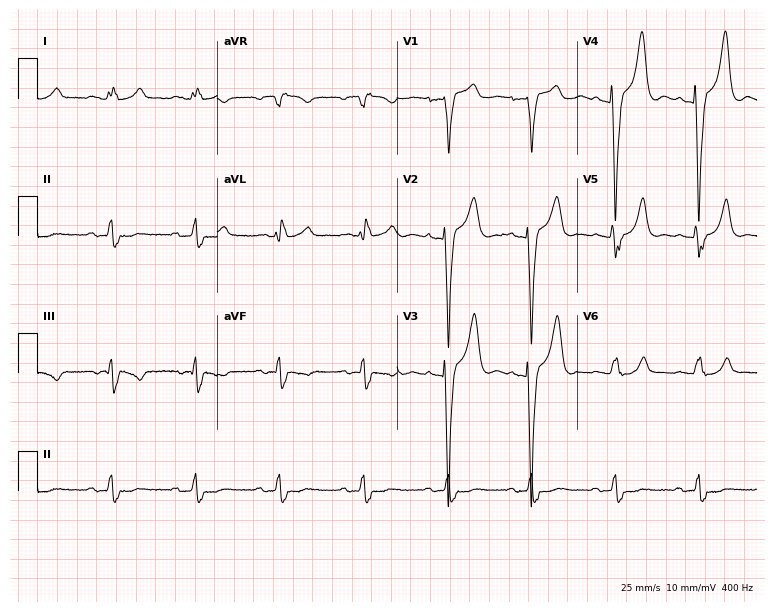
12-lead ECG from a 76-year-old male patient. No first-degree AV block, right bundle branch block, left bundle branch block, sinus bradycardia, atrial fibrillation or sinus tachycardia recorded for this tracing.